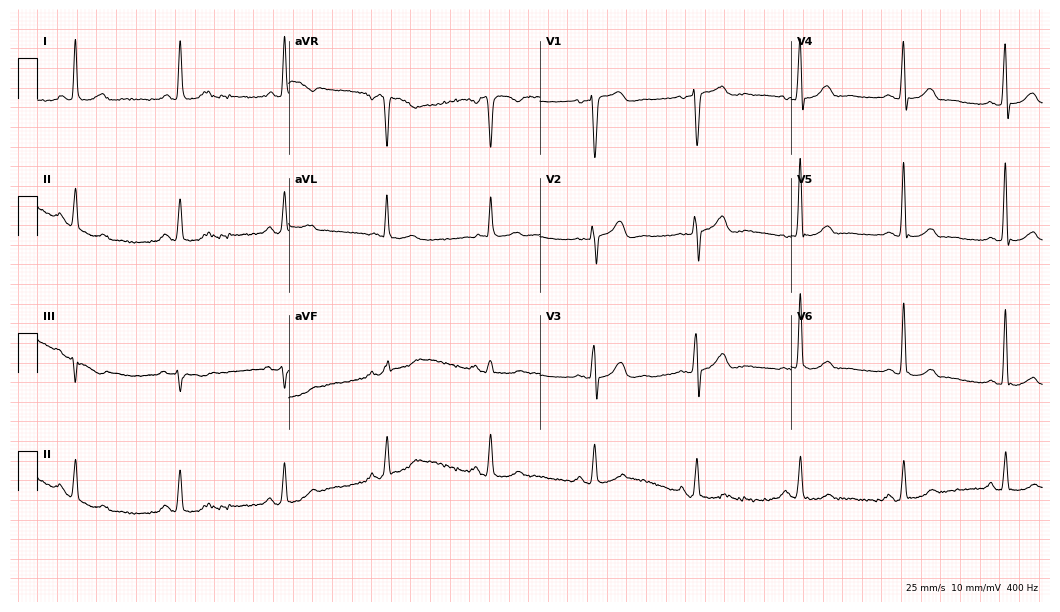
12-lead ECG from a 77-year-old female. Recorded interpretation: within normal limits.